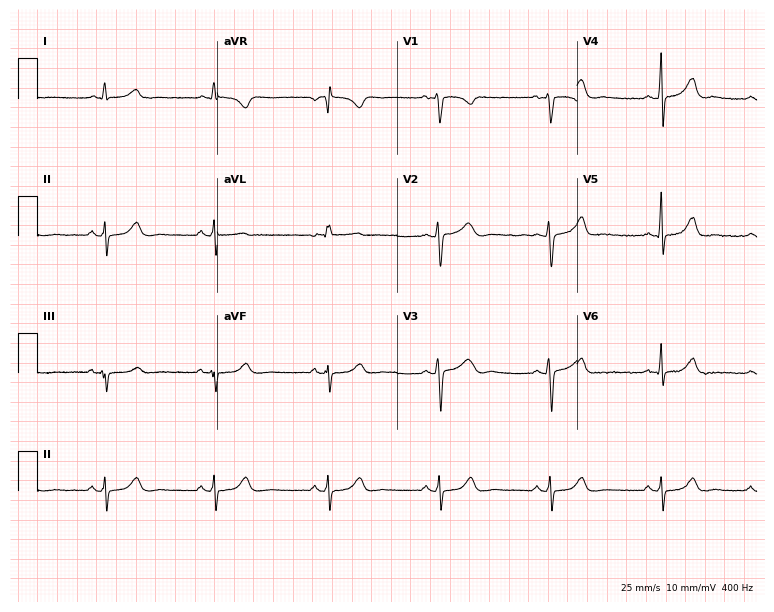
Resting 12-lead electrocardiogram. Patient: a 40-year-old woman. None of these six findings is recorded: first-degree AV block, right bundle branch block, left bundle branch block, sinus bradycardia, atrial fibrillation, sinus tachycardia. Findings outside these six are not listed.